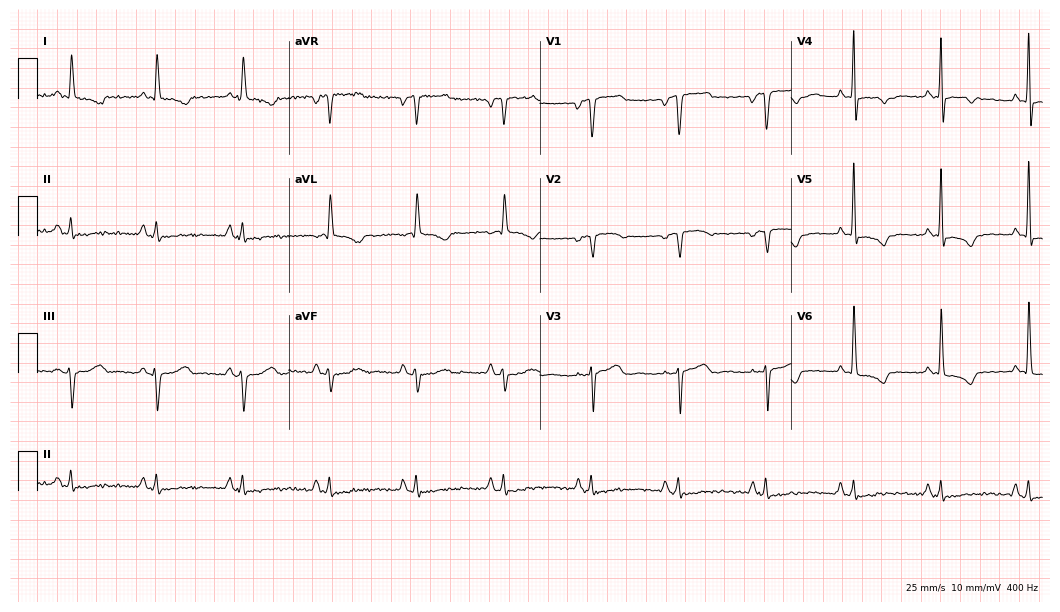
12-lead ECG from a 65-year-old male (10.2-second recording at 400 Hz). No first-degree AV block, right bundle branch block, left bundle branch block, sinus bradycardia, atrial fibrillation or sinus tachycardia recorded for this tracing.